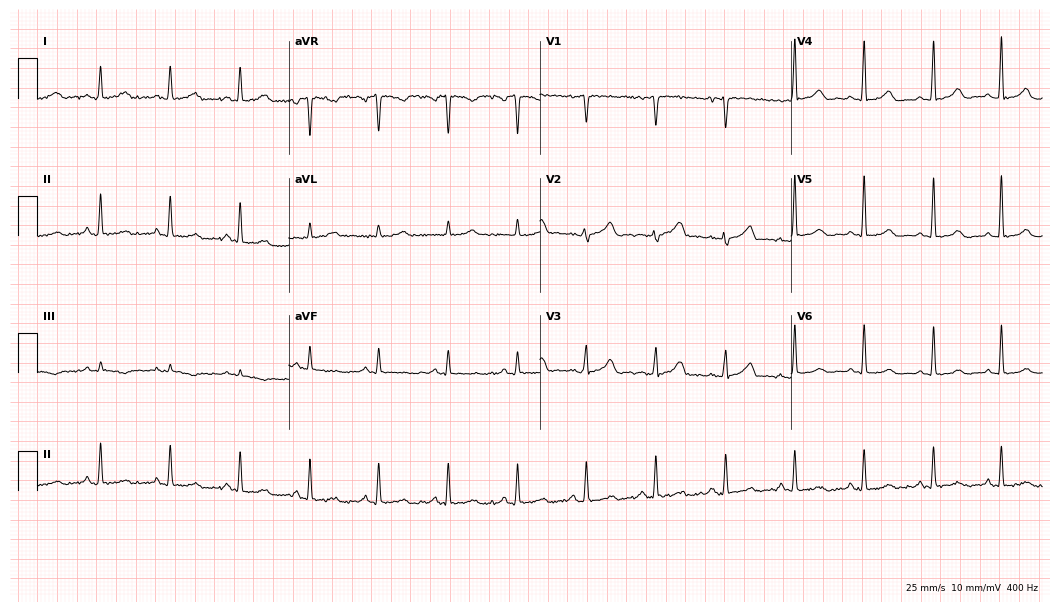
Resting 12-lead electrocardiogram. Patient: a woman, 47 years old. None of these six findings is recorded: first-degree AV block, right bundle branch block (RBBB), left bundle branch block (LBBB), sinus bradycardia, atrial fibrillation (AF), sinus tachycardia.